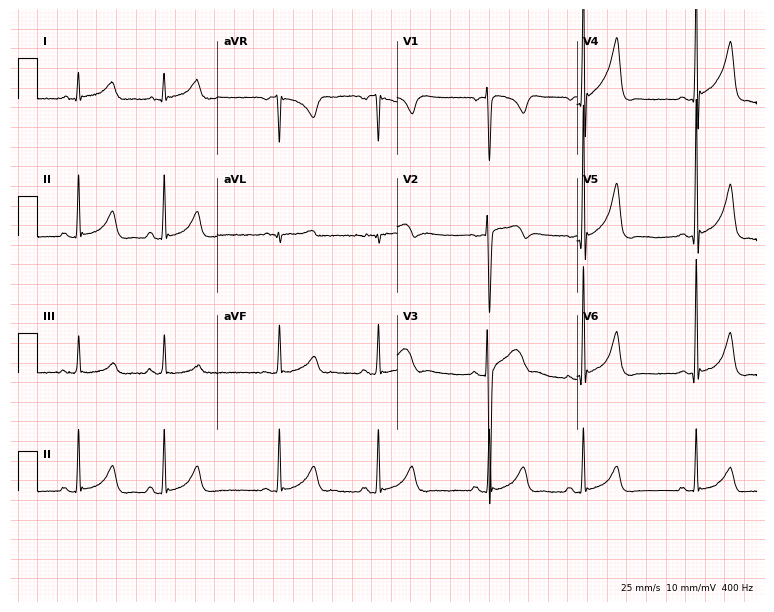
12-lead ECG (7.3-second recording at 400 Hz) from a 28-year-old male. Labelled as a normal ECG.